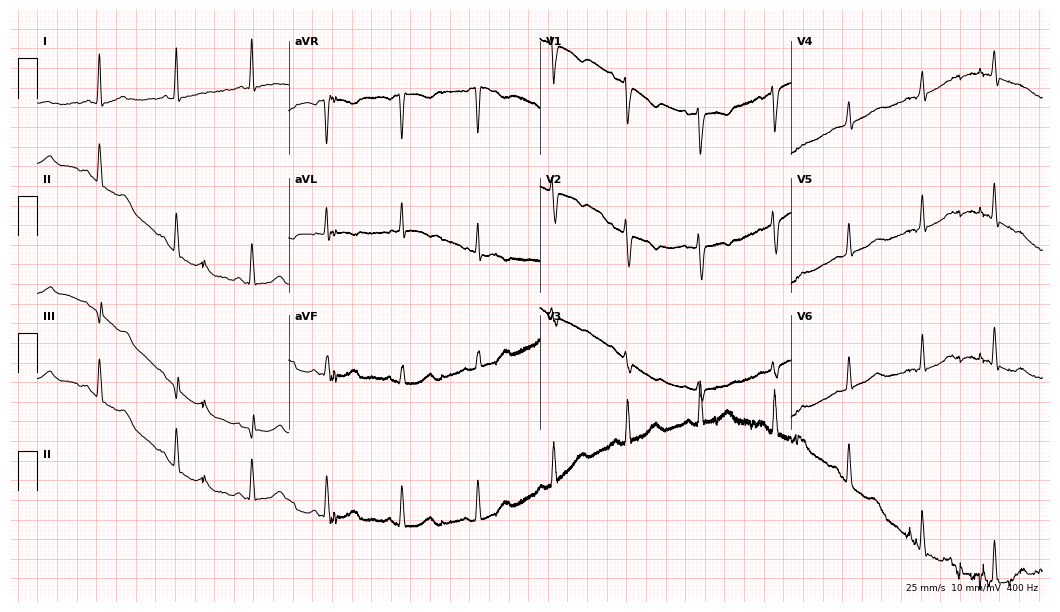
Resting 12-lead electrocardiogram (10.2-second recording at 400 Hz). Patient: a woman, 51 years old. None of these six findings is recorded: first-degree AV block, right bundle branch block, left bundle branch block, sinus bradycardia, atrial fibrillation, sinus tachycardia.